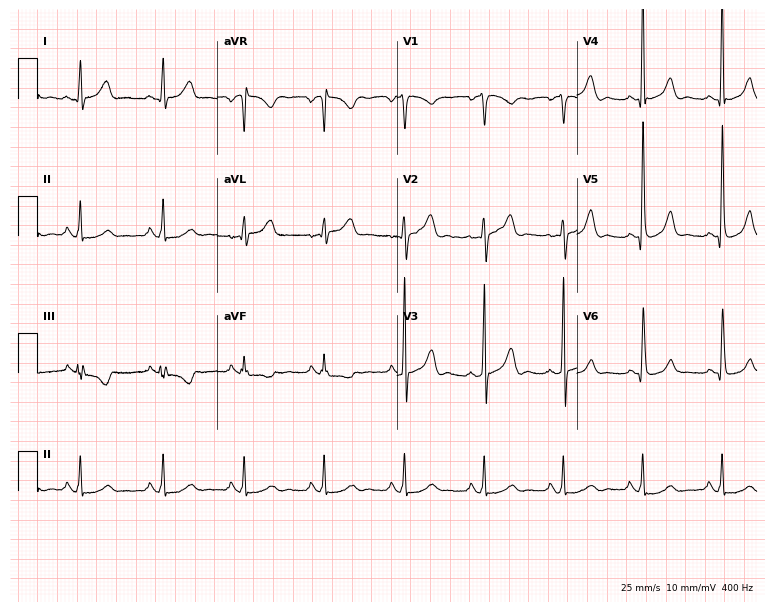
Standard 12-lead ECG recorded from a man, 40 years old. None of these six findings is recorded: first-degree AV block, right bundle branch block, left bundle branch block, sinus bradycardia, atrial fibrillation, sinus tachycardia. Findings outside these six are not listed.